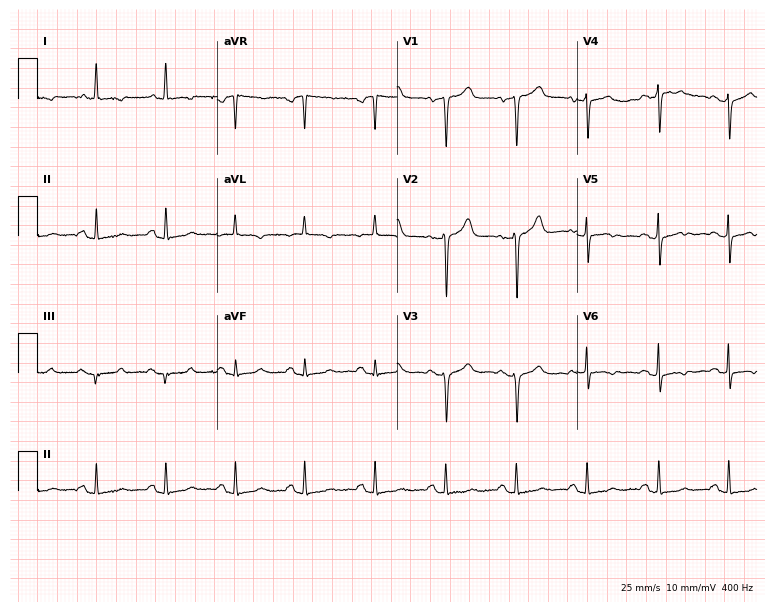
Electrocardiogram, a female, 81 years old. Of the six screened findings (first-degree AV block, right bundle branch block, left bundle branch block, sinus bradycardia, atrial fibrillation, sinus tachycardia), none is recorded.